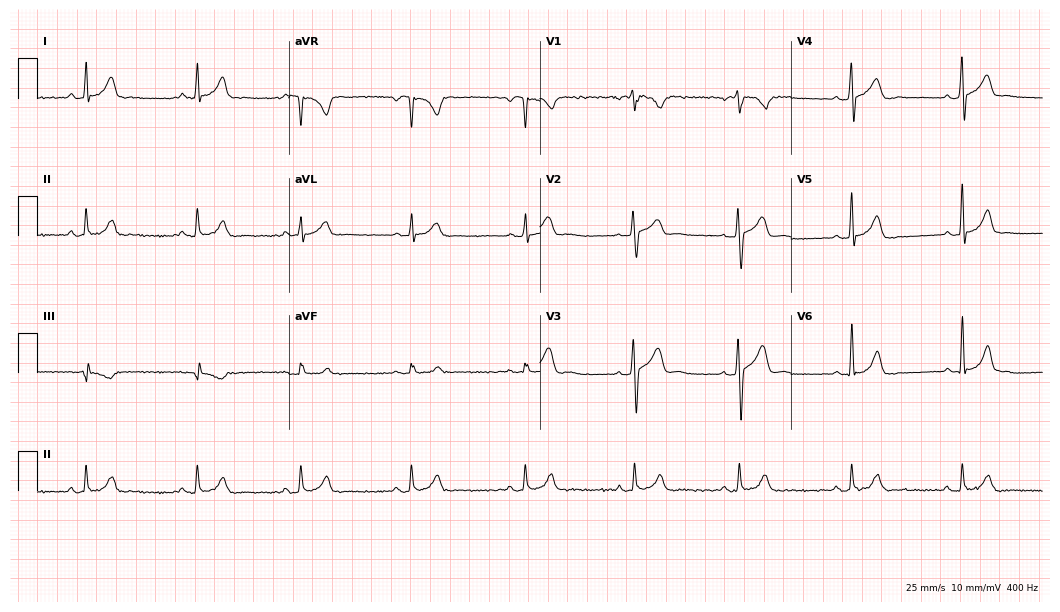
ECG (10.2-second recording at 400 Hz) — a male, 23 years old. Labelled as a normal ECG.